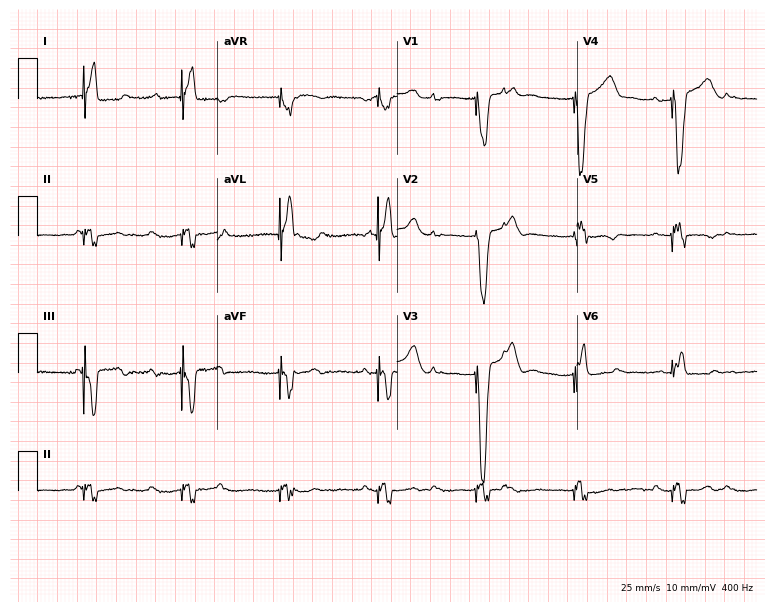
Electrocardiogram (7.3-second recording at 400 Hz), a 76-year-old woman. Of the six screened findings (first-degree AV block, right bundle branch block, left bundle branch block, sinus bradycardia, atrial fibrillation, sinus tachycardia), none is recorded.